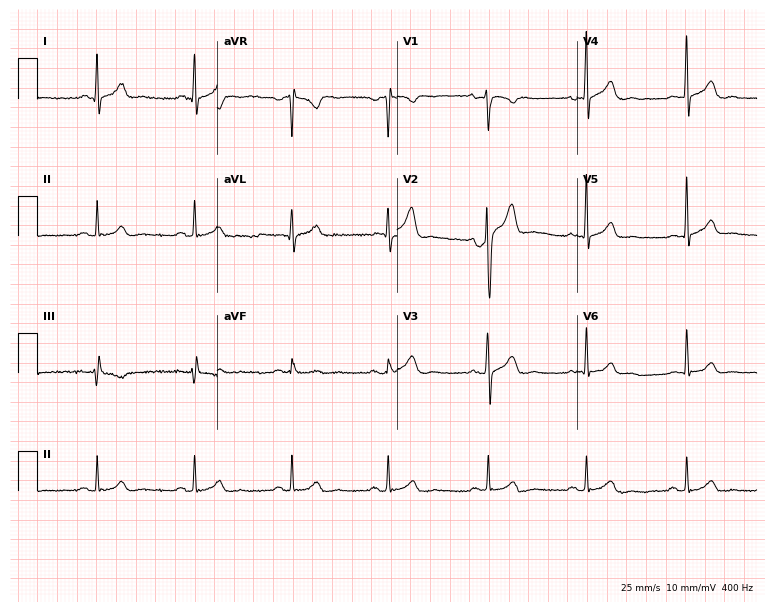
12-lead ECG from a 37-year-old man. Recorded interpretation: within normal limits.